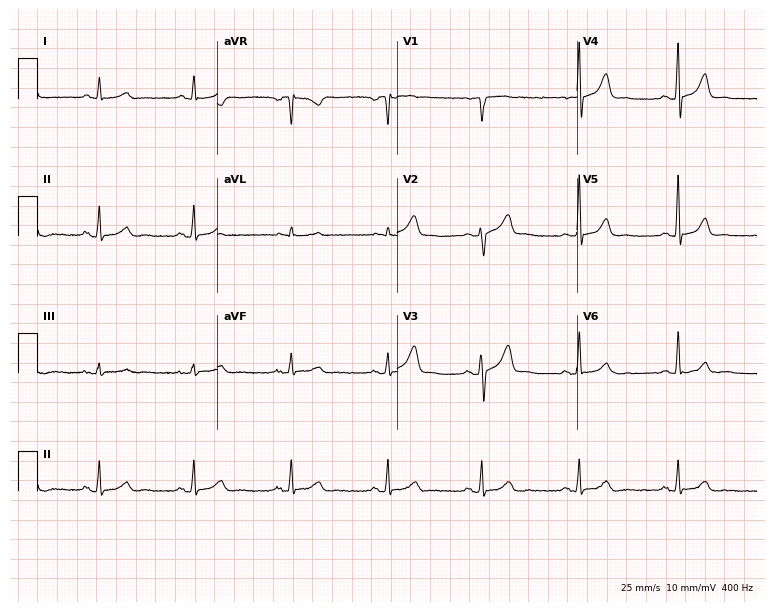
Electrocardiogram, a male, 56 years old. Overall reading on record: normal ECG.